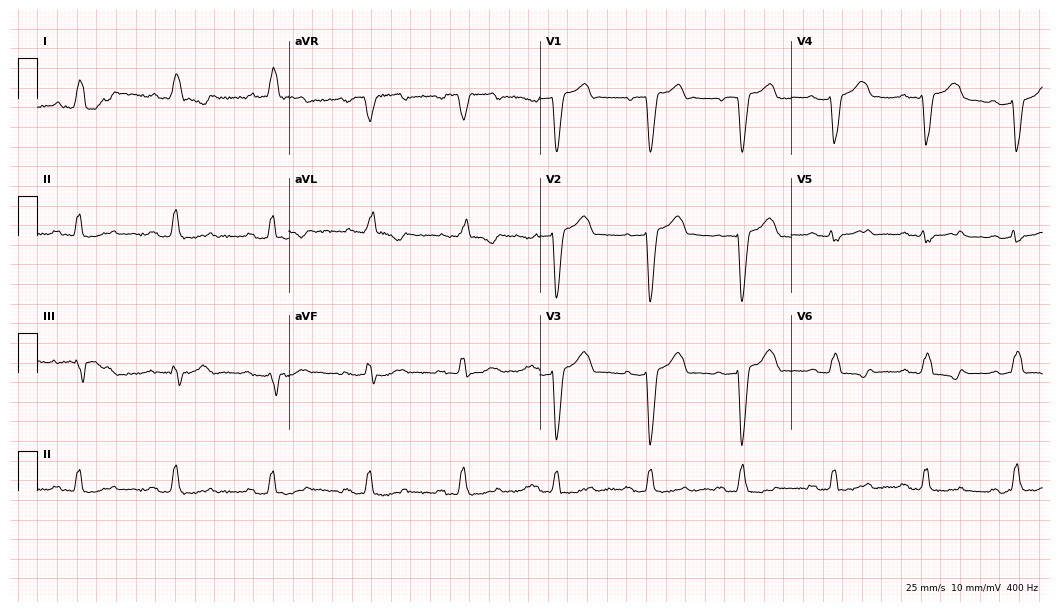
Resting 12-lead electrocardiogram (10.2-second recording at 400 Hz). Patient: a 72-year-old male. The tracing shows first-degree AV block, left bundle branch block.